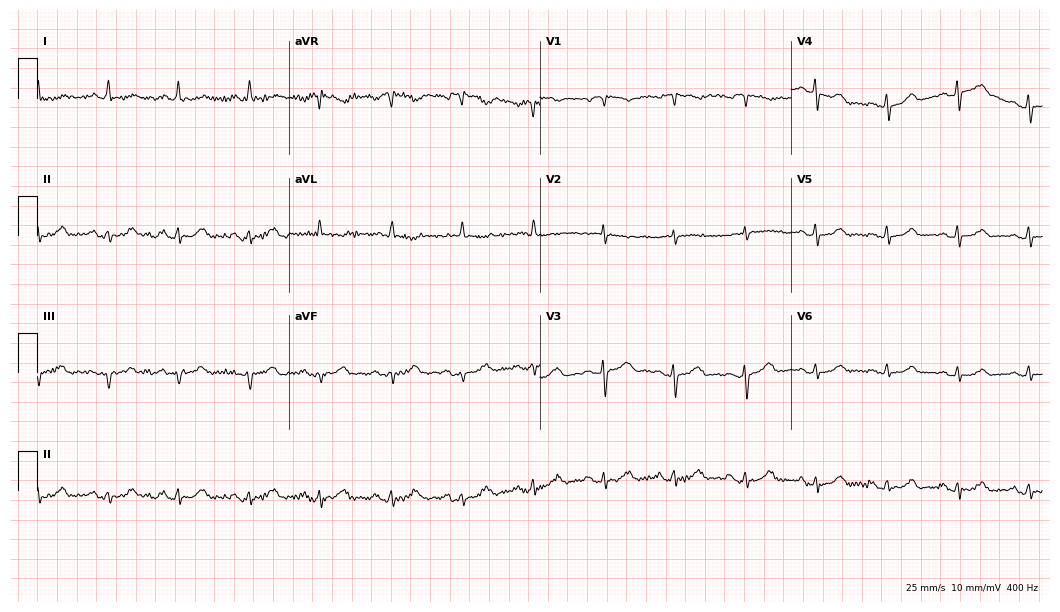
Resting 12-lead electrocardiogram. Patient: a female, 82 years old. Read as a normal ECG.